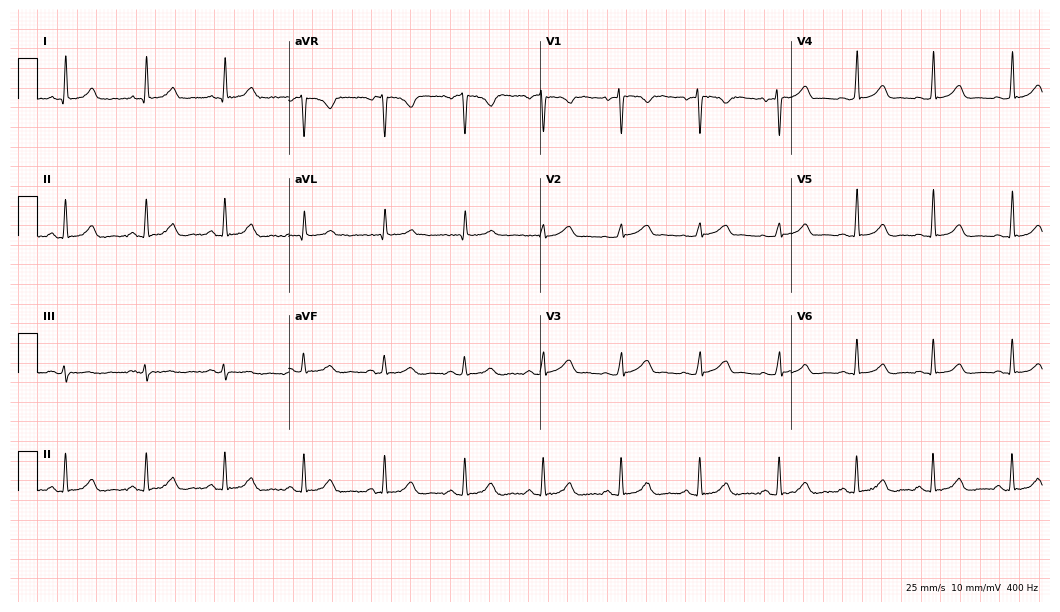
Electrocardiogram (10.2-second recording at 400 Hz), a female, 31 years old. Of the six screened findings (first-degree AV block, right bundle branch block, left bundle branch block, sinus bradycardia, atrial fibrillation, sinus tachycardia), none is recorded.